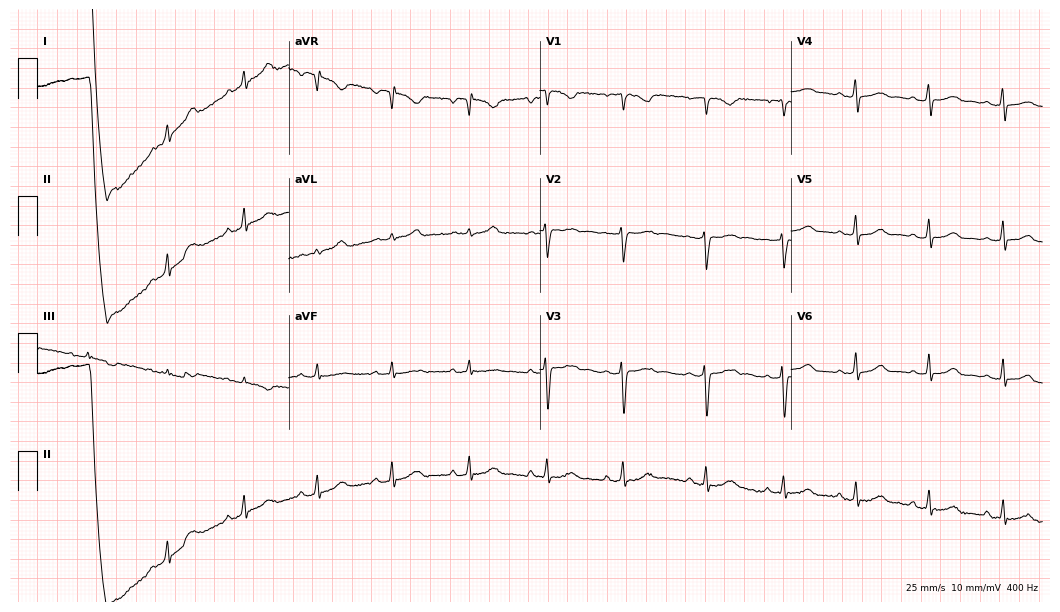
12-lead ECG from a female, 17 years old. Labelled as a normal ECG.